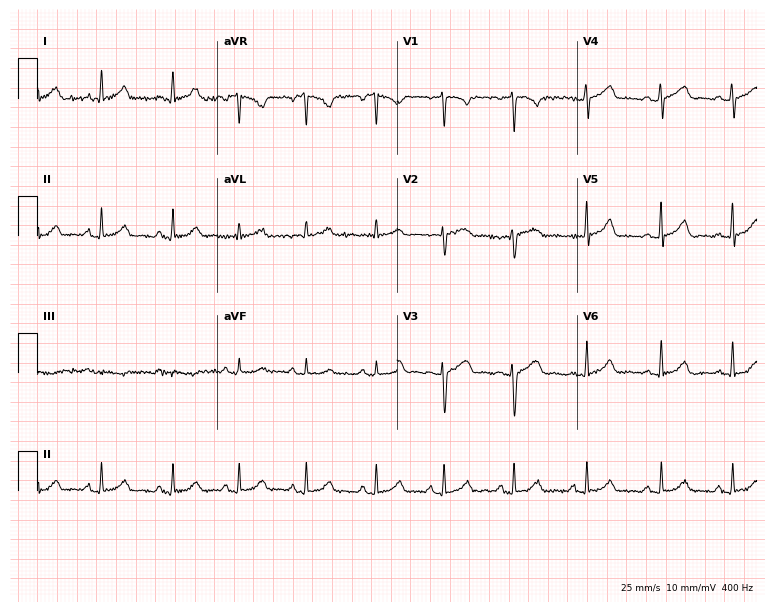
Resting 12-lead electrocardiogram. Patient: a 21-year-old female. Read as a normal ECG.